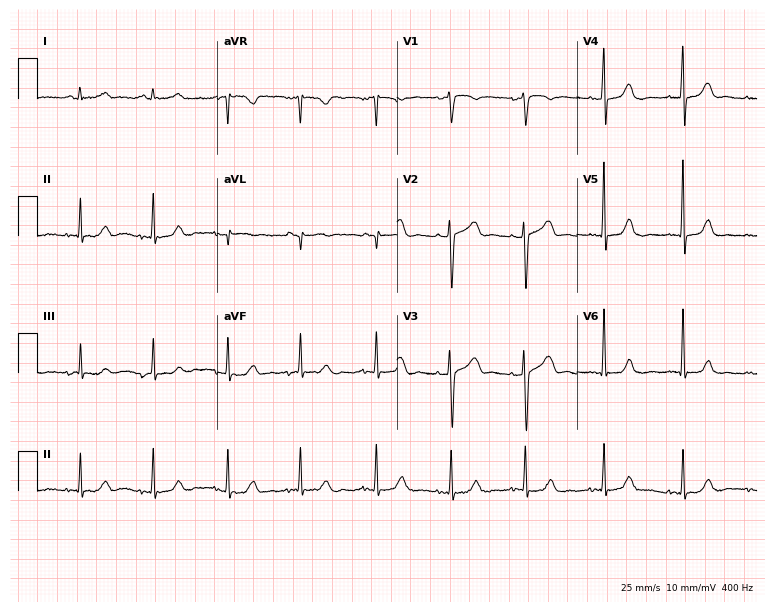
12-lead ECG from a man, 63 years old. Screened for six findings — first-degree AV block, right bundle branch block, left bundle branch block, sinus bradycardia, atrial fibrillation, sinus tachycardia — none is recorded.